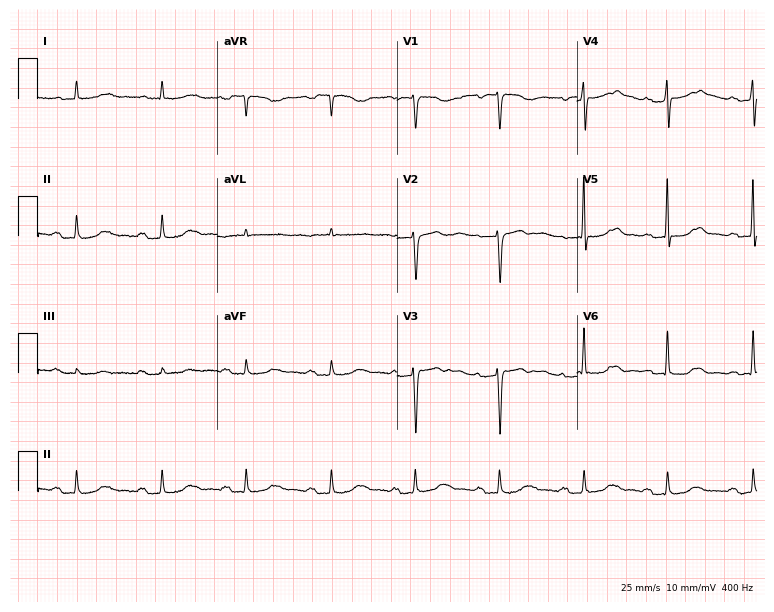
12-lead ECG from a female, 82 years old. Shows first-degree AV block.